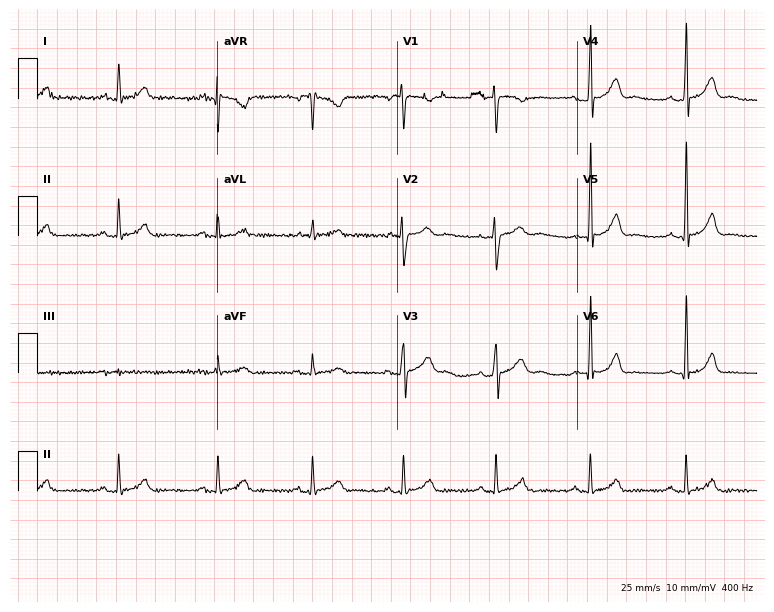
12-lead ECG from a man, 43 years old. Recorded interpretation: within normal limits.